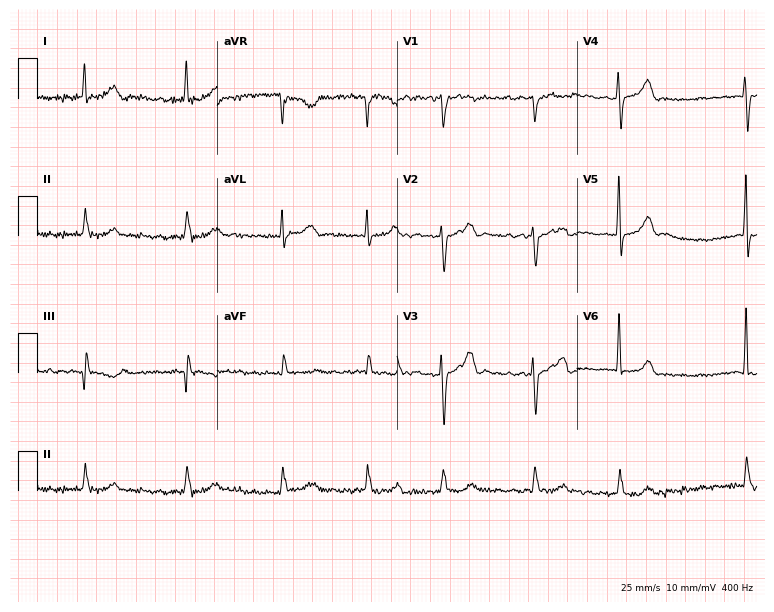
12-lead ECG from a 67-year-old male patient. No first-degree AV block, right bundle branch block, left bundle branch block, sinus bradycardia, atrial fibrillation or sinus tachycardia recorded for this tracing.